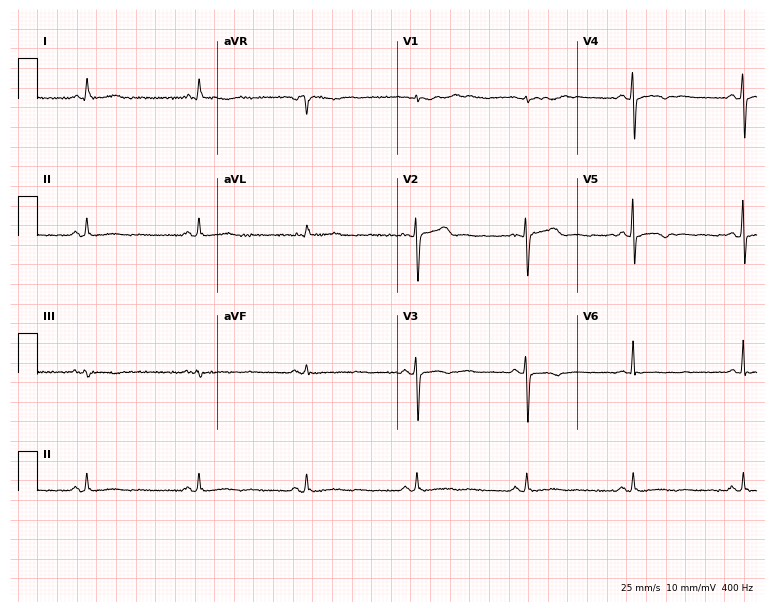
12-lead ECG from a female, 39 years old. Screened for six findings — first-degree AV block, right bundle branch block, left bundle branch block, sinus bradycardia, atrial fibrillation, sinus tachycardia — none is recorded. Other findings, if any, are not listed.